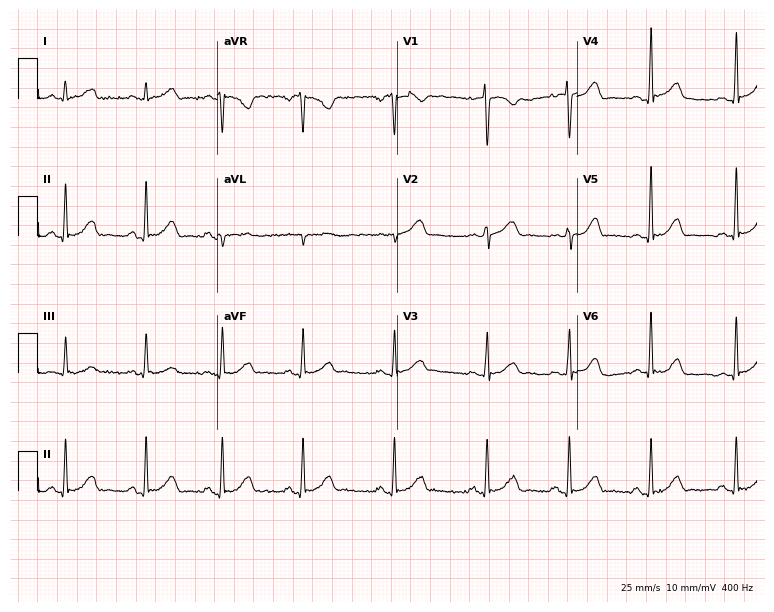
Resting 12-lead electrocardiogram (7.3-second recording at 400 Hz). Patient: a 31-year-old female. Read as a normal ECG.